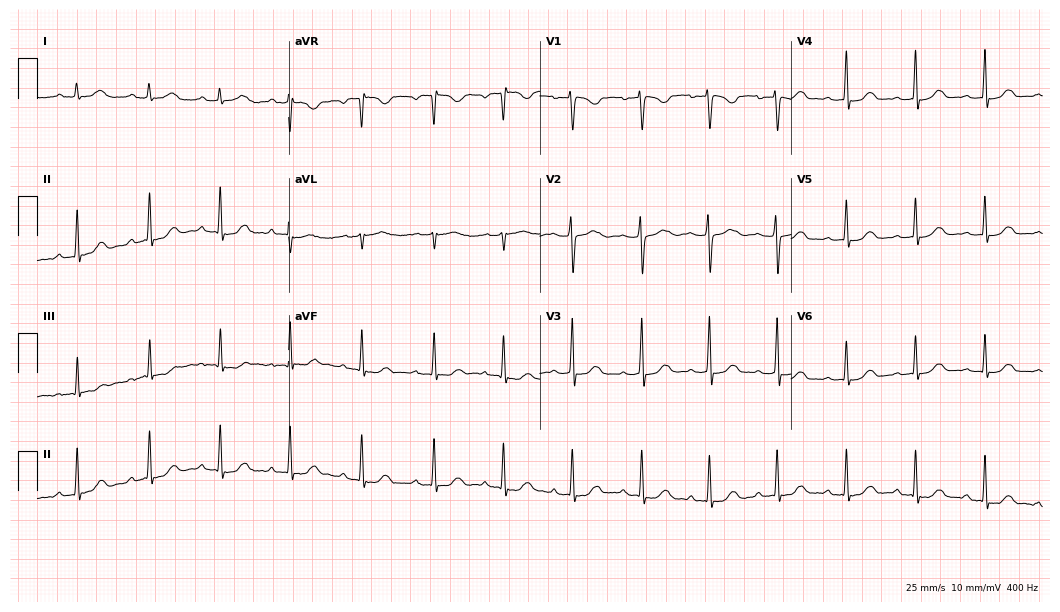
ECG (10.2-second recording at 400 Hz) — a woman, 23 years old. Labelled as a normal ECG.